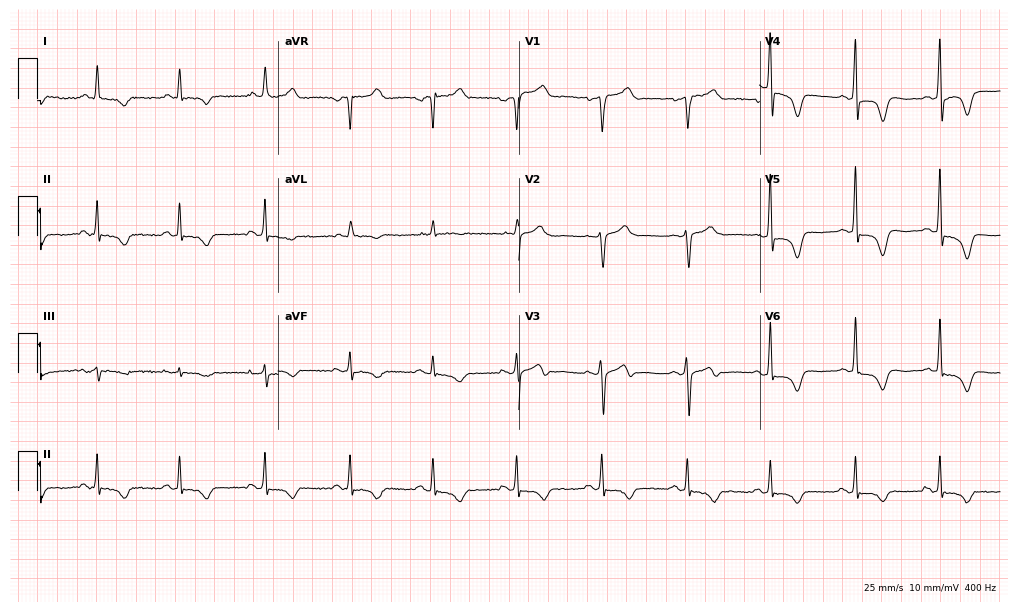
12-lead ECG (9.8-second recording at 400 Hz) from a female, 55 years old. Screened for six findings — first-degree AV block, right bundle branch block, left bundle branch block, sinus bradycardia, atrial fibrillation, sinus tachycardia — none is recorded. Only these six findings were labelled.